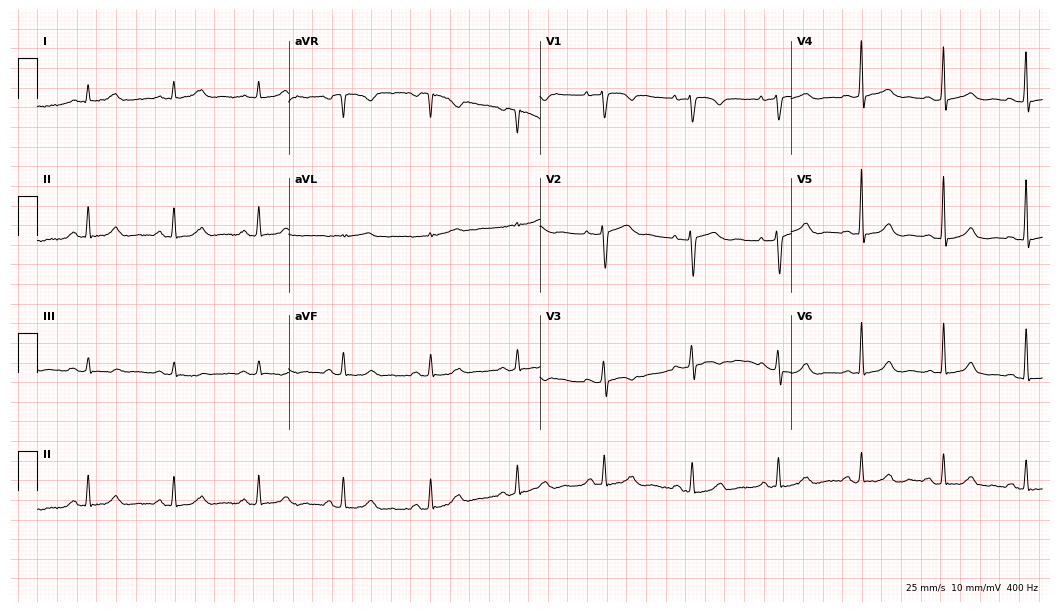
12-lead ECG from a female, 43 years old (10.2-second recording at 400 Hz). Recorded interpretation: within normal limits.